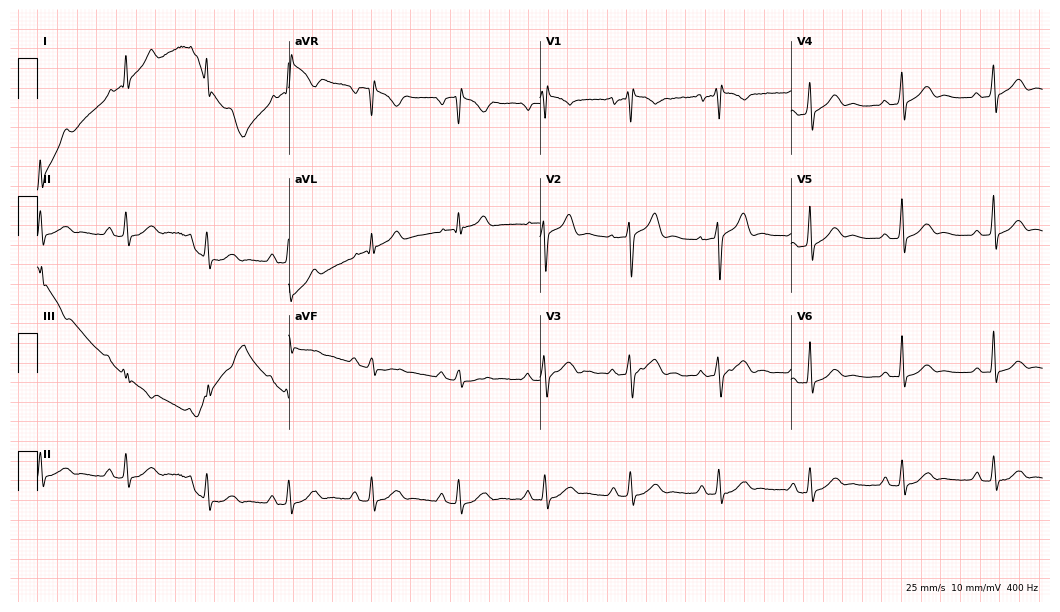
Electrocardiogram, a male patient, 46 years old. Of the six screened findings (first-degree AV block, right bundle branch block, left bundle branch block, sinus bradycardia, atrial fibrillation, sinus tachycardia), none is recorded.